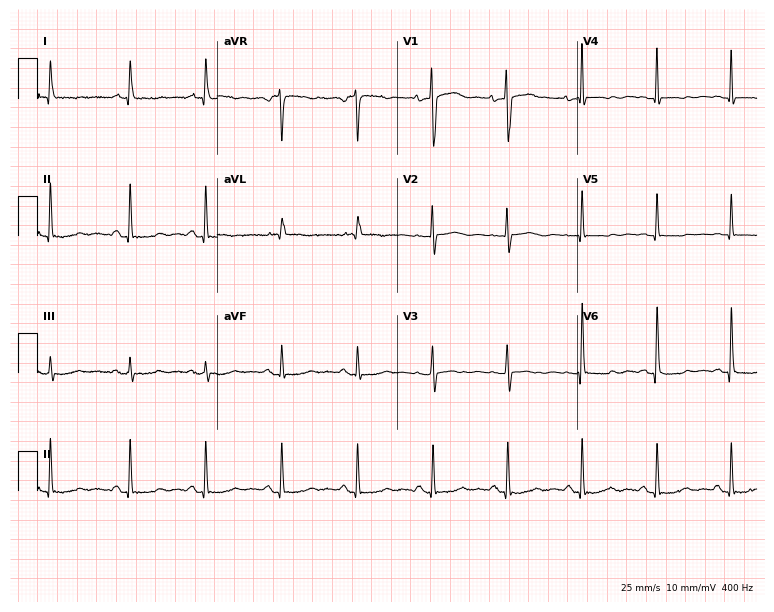
12-lead ECG (7.3-second recording at 400 Hz) from a 72-year-old female patient. Screened for six findings — first-degree AV block, right bundle branch block (RBBB), left bundle branch block (LBBB), sinus bradycardia, atrial fibrillation (AF), sinus tachycardia — none is recorded. Other findings, if any, are not listed.